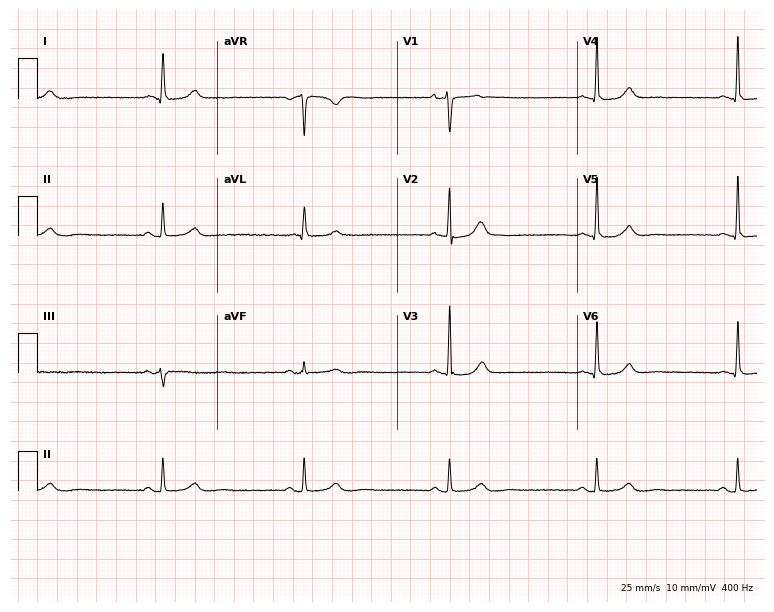
Resting 12-lead electrocardiogram (7.3-second recording at 400 Hz). Patient: a woman, 77 years old. None of these six findings is recorded: first-degree AV block, right bundle branch block, left bundle branch block, sinus bradycardia, atrial fibrillation, sinus tachycardia. Only these six findings were labelled.